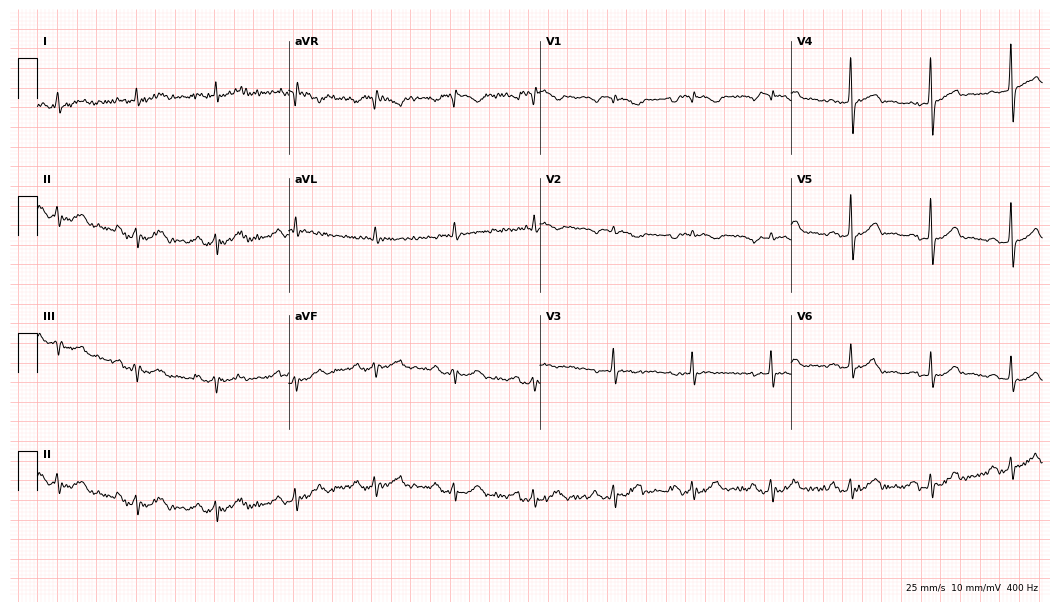
12-lead ECG from a 79-year-old man. No first-degree AV block, right bundle branch block (RBBB), left bundle branch block (LBBB), sinus bradycardia, atrial fibrillation (AF) or sinus tachycardia recorded for this tracing. Findings outside these six are not listed.